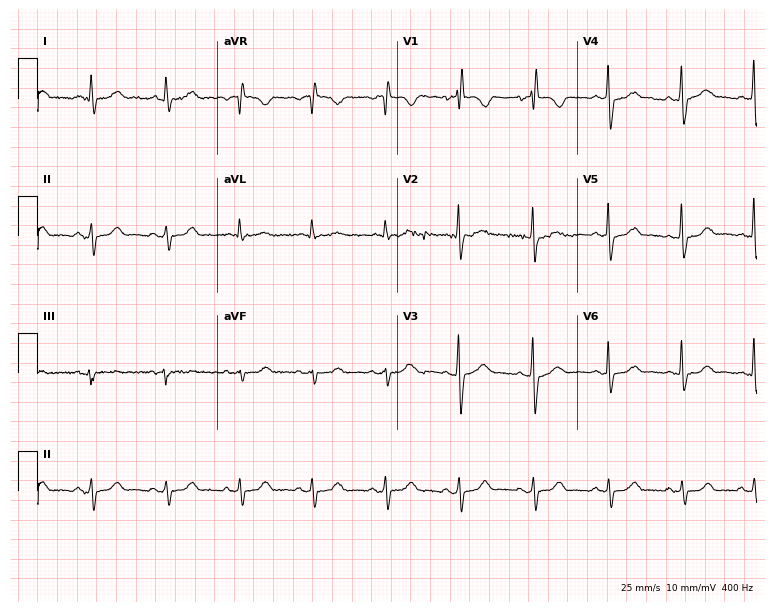
Resting 12-lead electrocardiogram. Patient: a man, 65 years old. Read as a normal ECG.